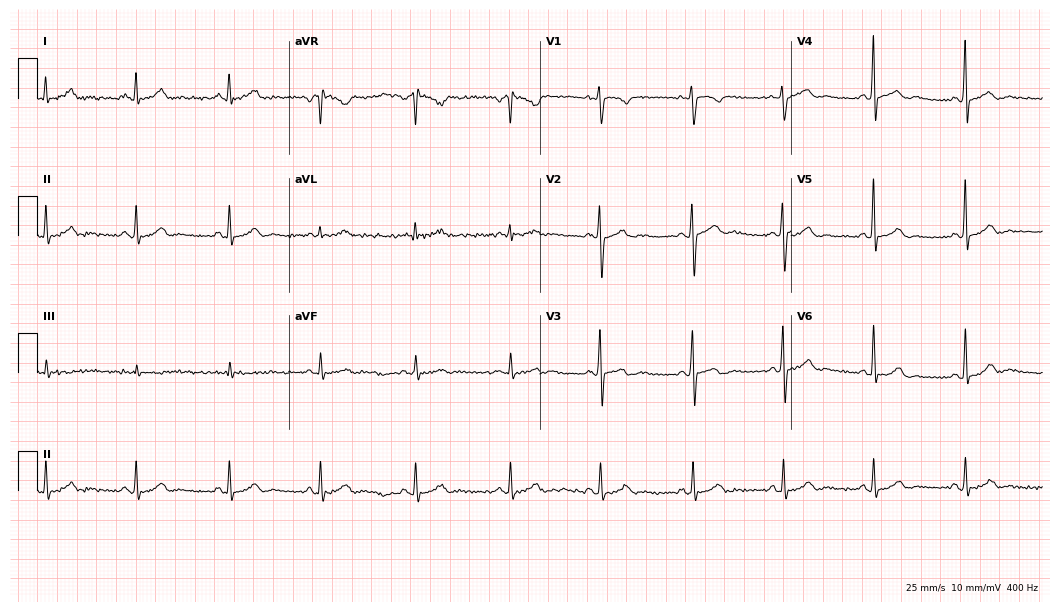
12-lead ECG from a male patient, 38 years old. Recorded interpretation: within normal limits.